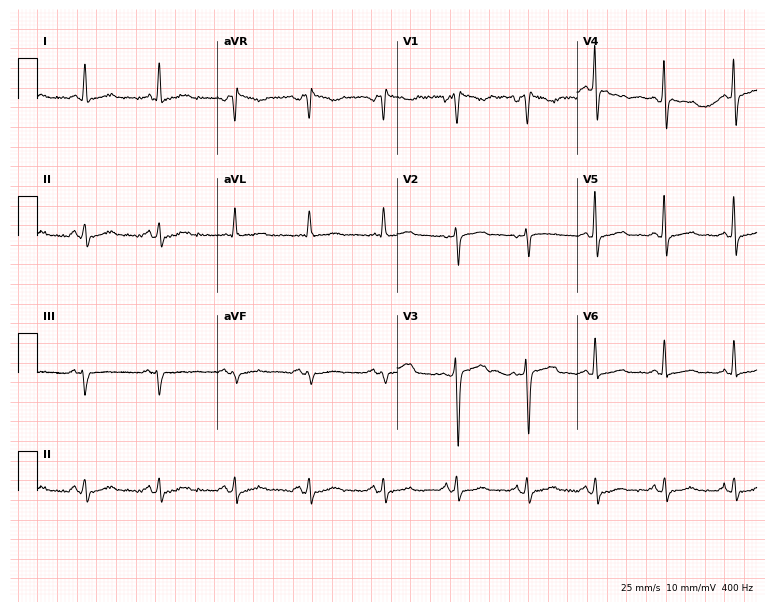
Standard 12-lead ECG recorded from a male patient, 56 years old. None of these six findings is recorded: first-degree AV block, right bundle branch block, left bundle branch block, sinus bradycardia, atrial fibrillation, sinus tachycardia. Only these six findings were labelled.